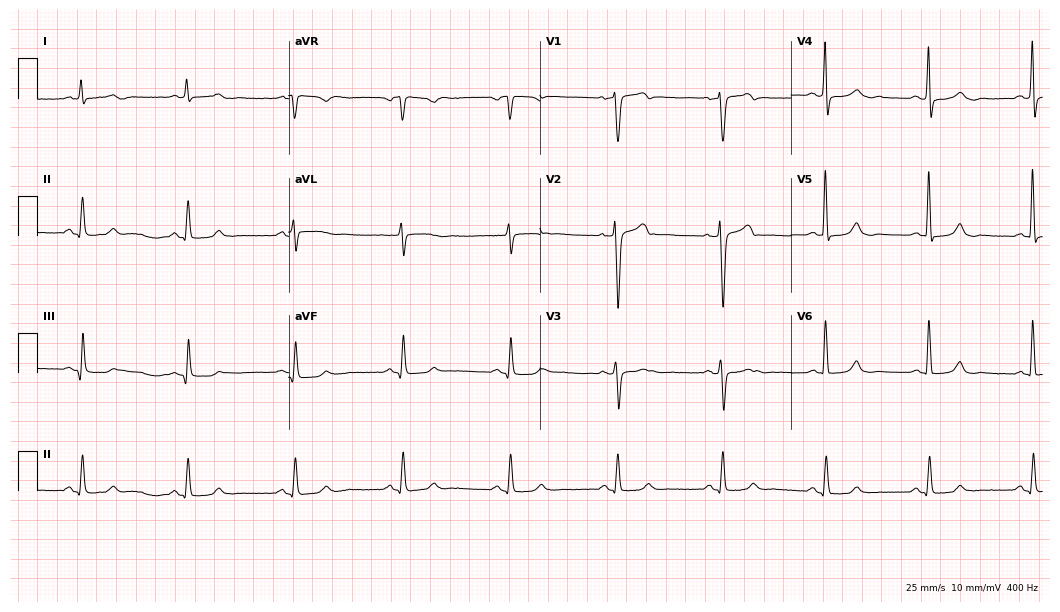
Electrocardiogram (10.2-second recording at 400 Hz), a 68-year-old male patient. Overall reading on record: normal ECG.